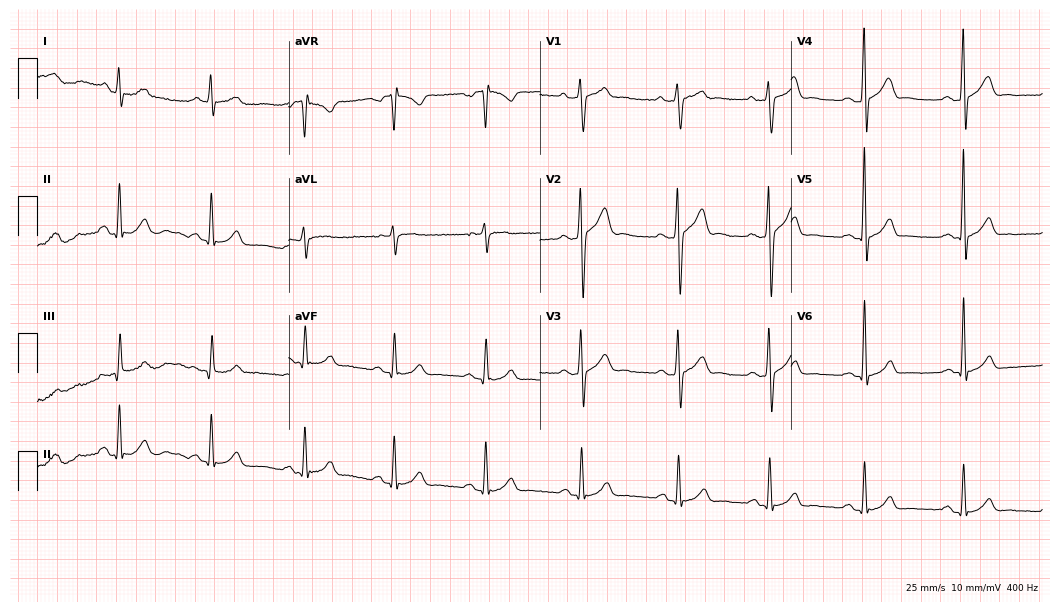
Standard 12-lead ECG recorded from a 22-year-old male. Read as a normal ECG.